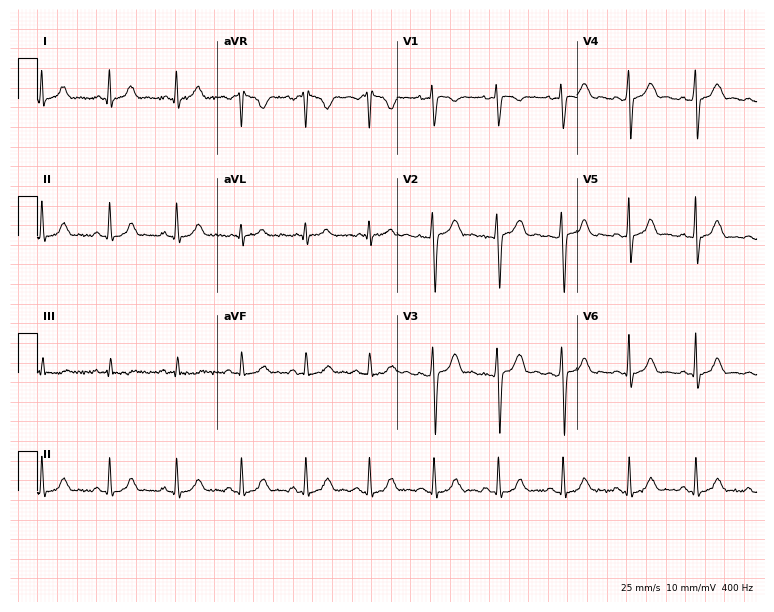
12-lead ECG (7.3-second recording at 400 Hz) from a female, 28 years old. Labelled as a normal ECG.